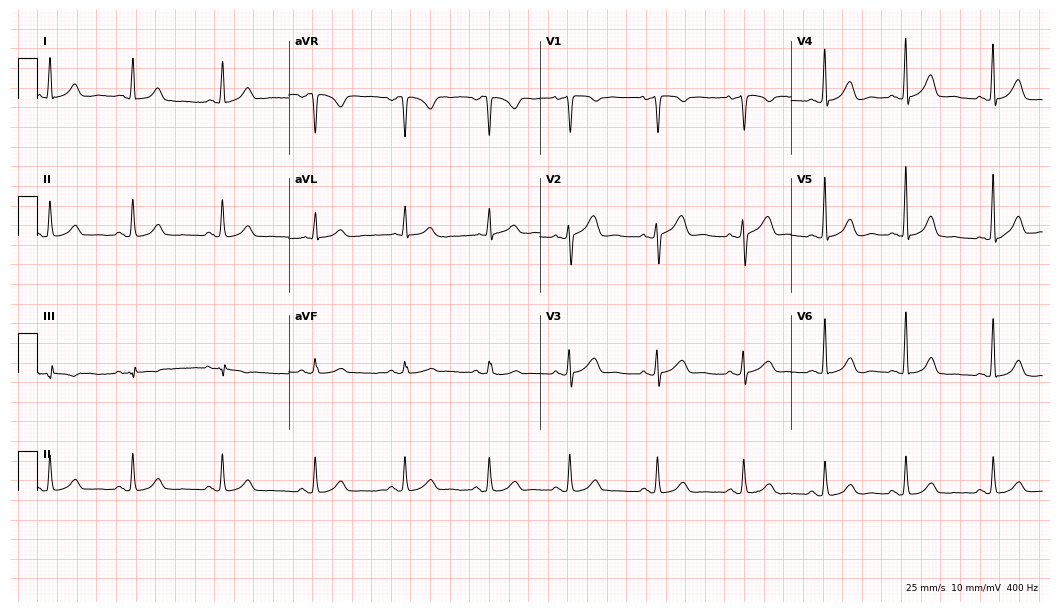
Resting 12-lead electrocardiogram (10.2-second recording at 400 Hz). Patient: a 48-year-old female. Read as a normal ECG.